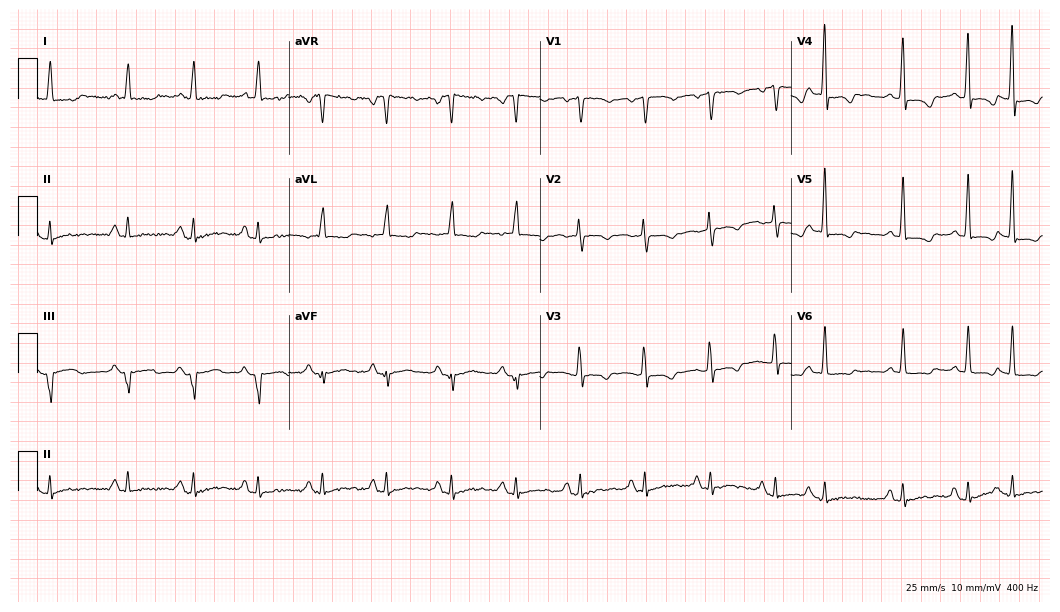
12-lead ECG from a female, 71 years old. Screened for six findings — first-degree AV block, right bundle branch block, left bundle branch block, sinus bradycardia, atrial fibrillation, sinus tachycardia — none is recorded.